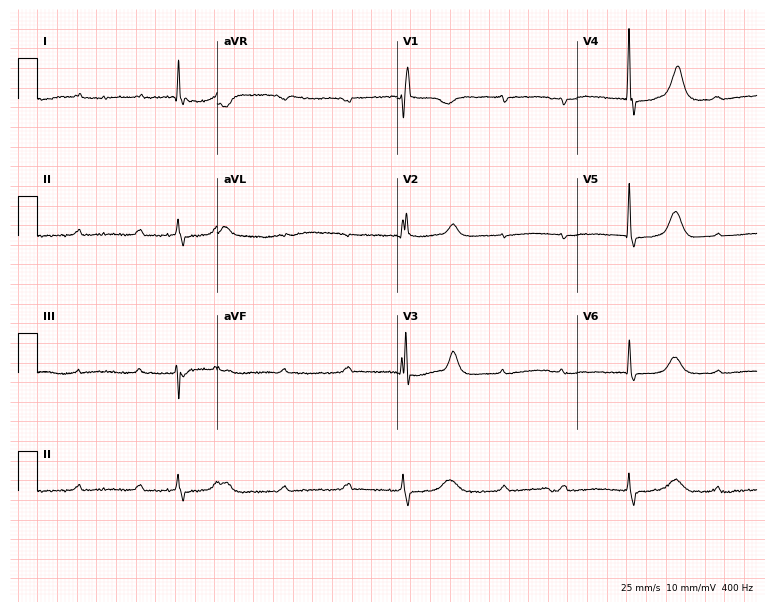
ECG (7.3-second recording at 400 Hz) — a man, 81 years old. Screened for six findings — first-degree AV block, right bundle branch block (RBBB), left bundle branch block (LBBB), sinus bradycardia, atrial fibrillation (AF), sinus tachycardia — none is recorded.